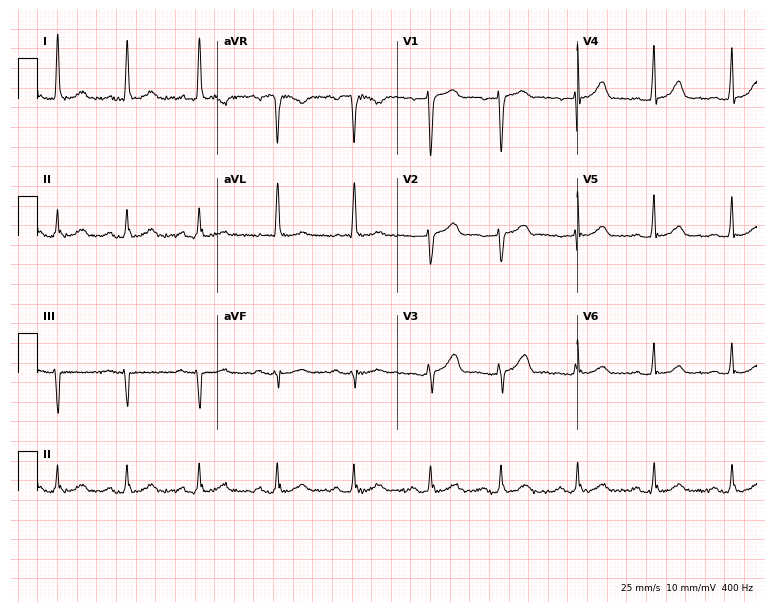
Standard 12-lead ECG recorded from a female patient, 58 years old (7.3-second recording at 400 Hz). Read as a normal ECG.